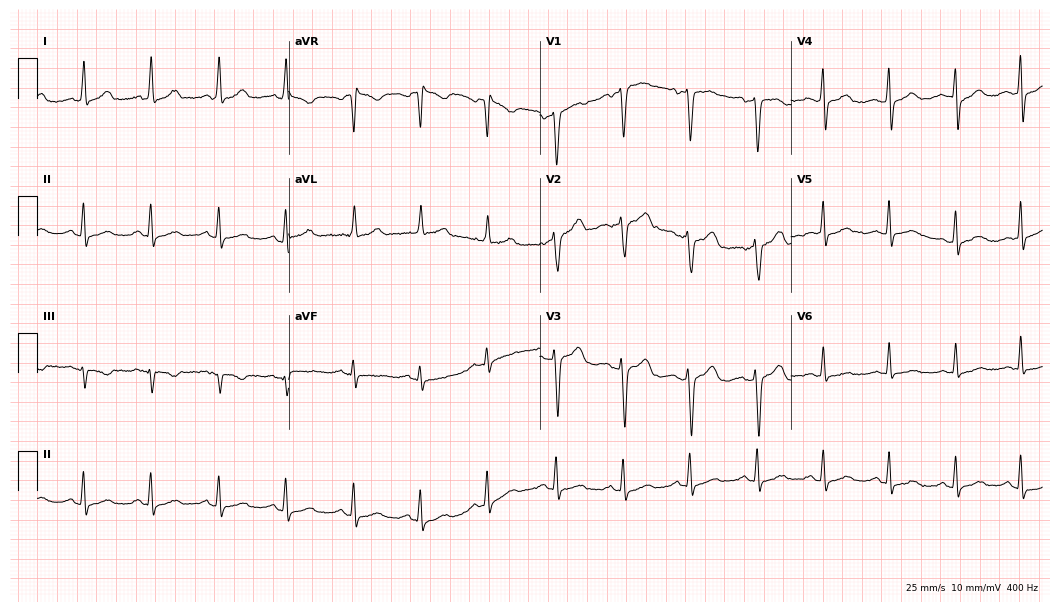
ECG — a 43-year-old woman. Labelled as a normal ECG.